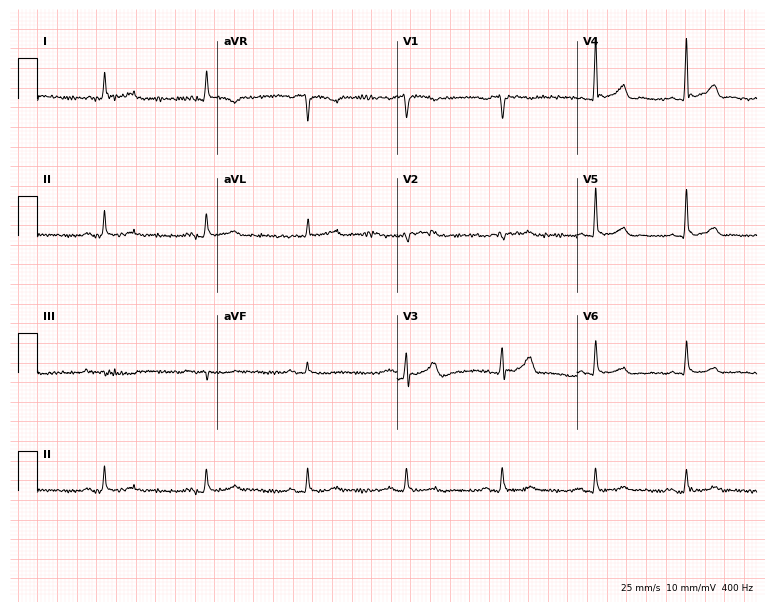
Resting 12-lead electrocardiogram. Patient: a 67-year-old male. None of these six findings is recorded: first-degree AV block, right bundle branch block, left bundle branch block, sinus bradycardia, atrial fibrillation, sinus tachycardia.